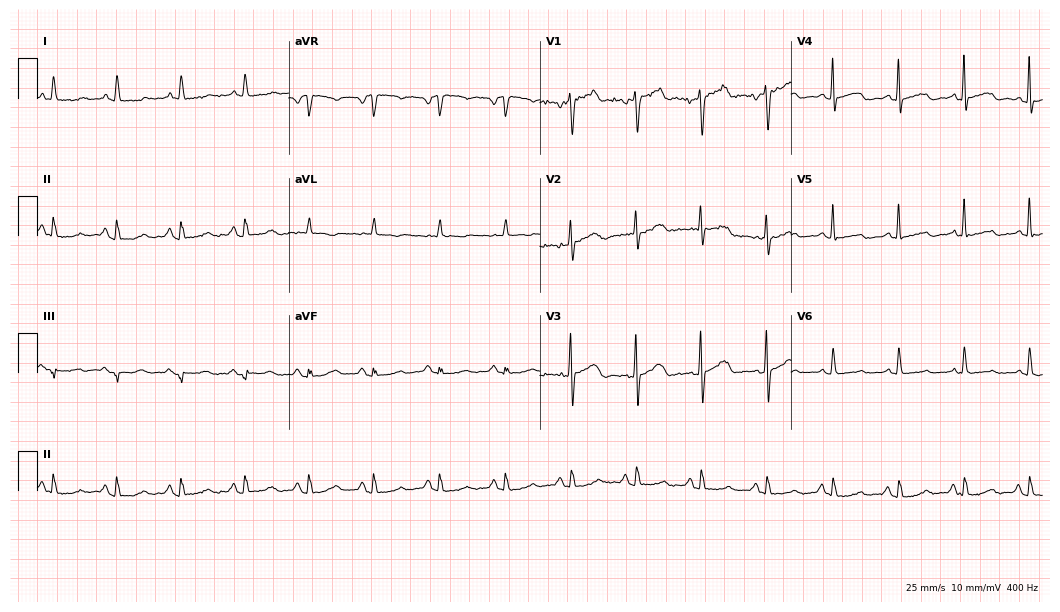
Resting 12-lead electrocardiogram. Patient: a 72-year-old female. None of these six findings is recorded: first-degree AV block, right bundle branch block, left bundle branch block, sinus bradycardia, atrial fibrillation, sinus tachycardia. Other findings, if any, are not listed.